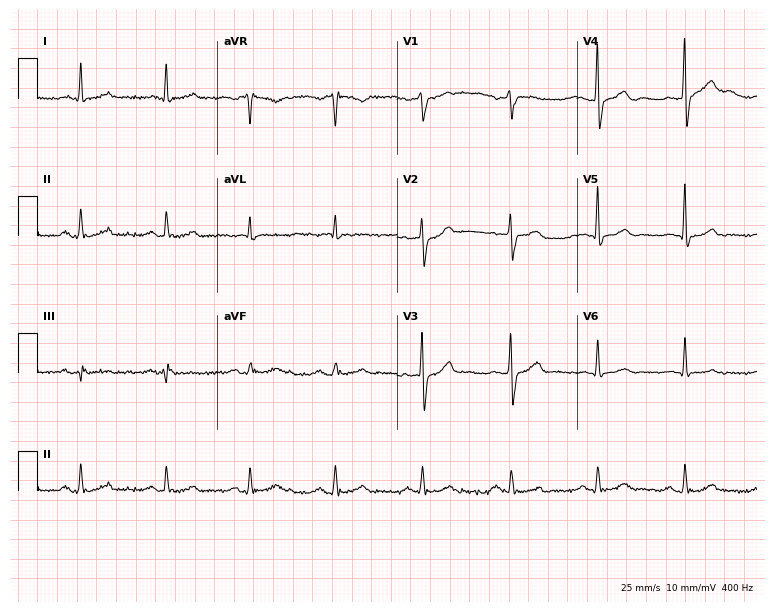
Resting 12-lead electrocardiogram. Patient: a 75-year-old man. None of these six findings is recorded: first-degree AV block, right bundle branch block, left bundle branch block, sinus bradycardia, atrial fibrillation, sinus tachycardia. Only these six findings were labelled.